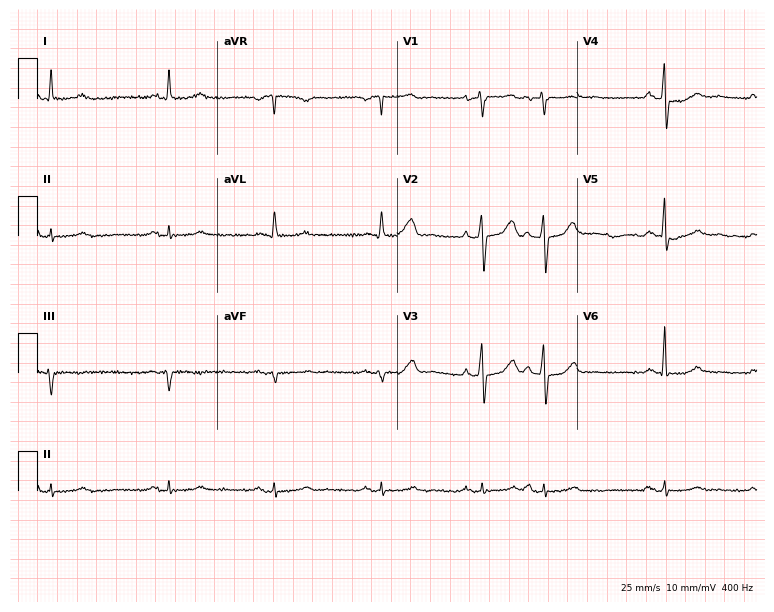
12-lead ECG (7.3-second recording at 400 Hz) from a 66-year-old male patient. Screened for six findings — first-degree AV block, right bundle branch block, left bundle branch block, sinus bradycardia, atrial fibrillation, sinus tachycardia — none is recorded.